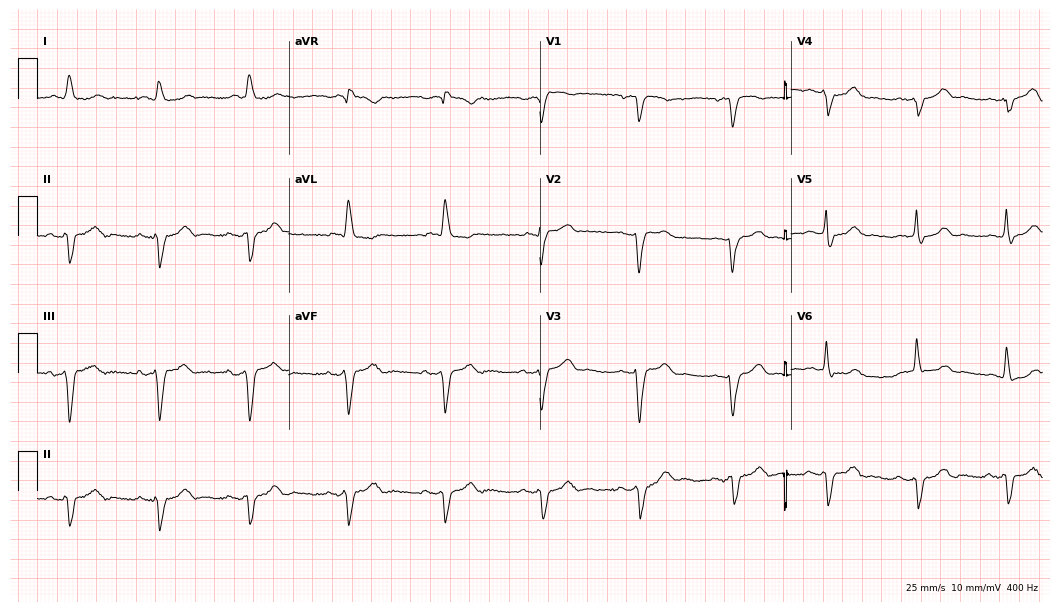
Resting 12-lead electrocardiogram. Patient: an 82-year-old male. None of these six findings is recorded: first-degree AV block, right bundle branch block, left bundle branch block, sinus bradycardia, atrial fibrillation, sinus tachycardia.